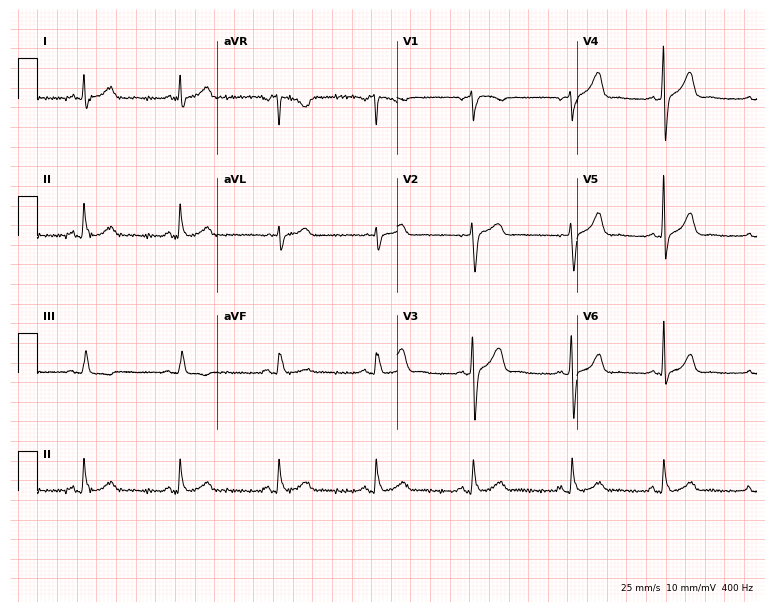
12-lead ECG from a 45-year-old man. Labelled as a normal ECG.